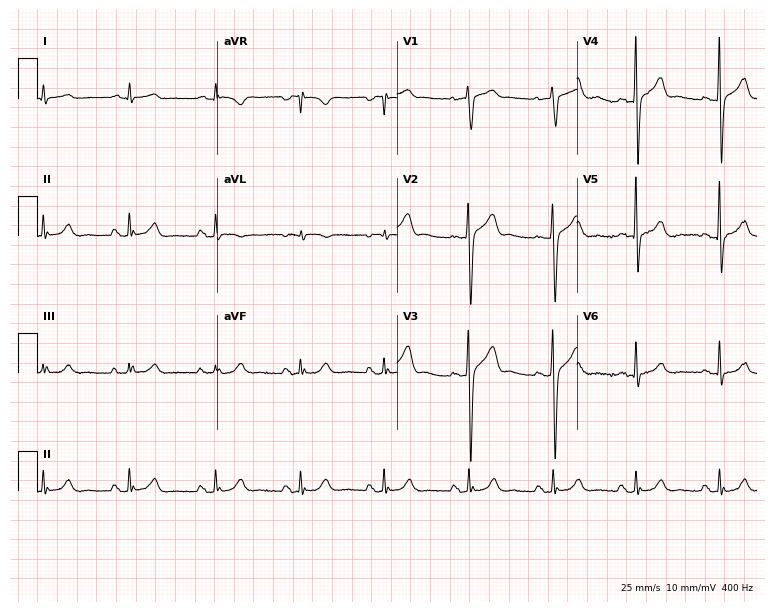
12-lead ECG from a man, 63 years old (7.3-second recording at 400 Hz). Recorded interpretation: within normal limits.